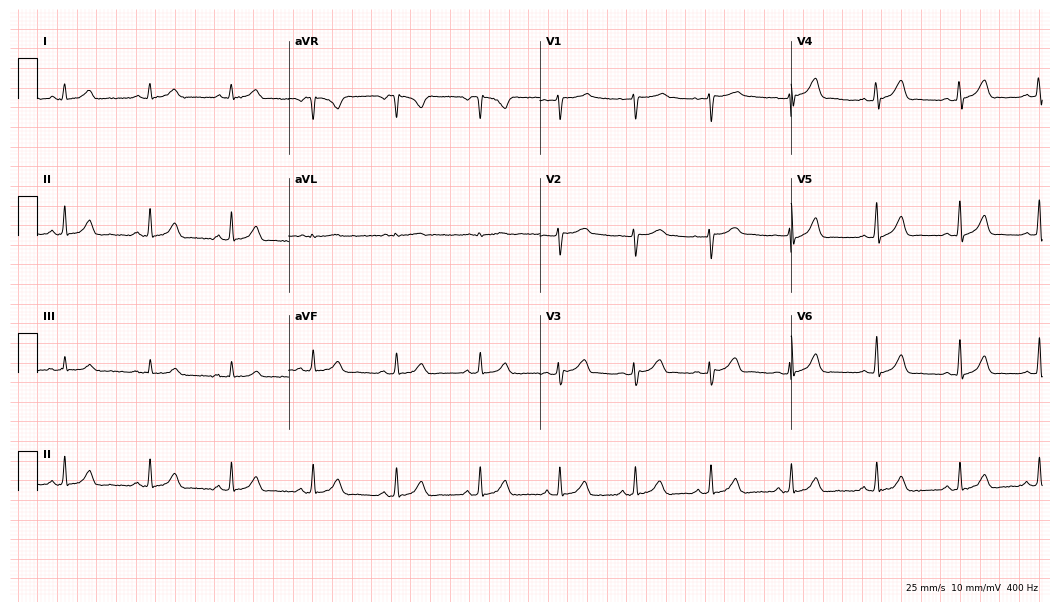
Resting 12-lead electrocardiogram. Patient: a 31-year-old woman. Read as a normal ECG.